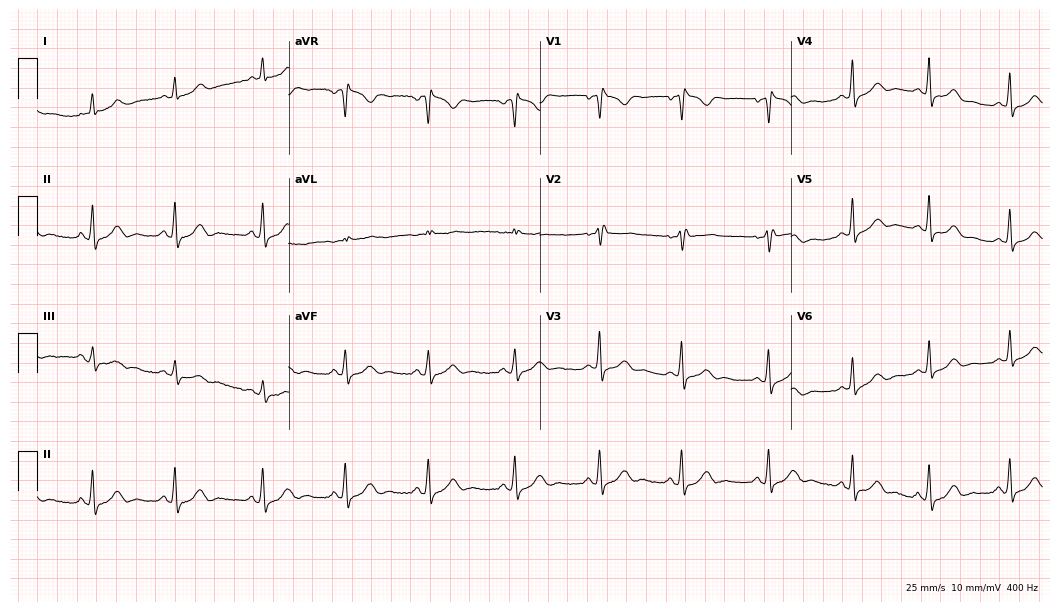
Standard 12-lead ECG recorded from a 39-year-old female. None of these six findings is recorded: first-degree AV block, right bundle branch block, left bundle branch block, sinus bradycardia, atrial fibrillation, sinus tachycardia. Findings outside these six are not listed.